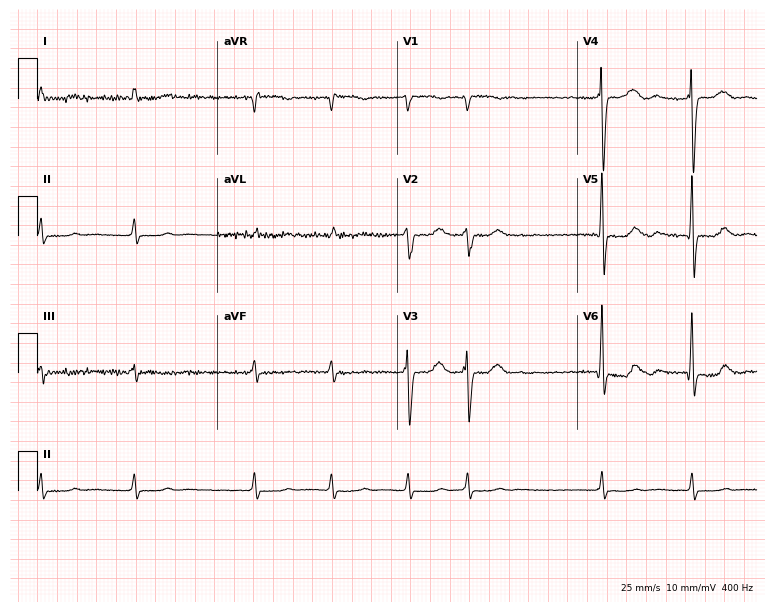
ECG — an 81-year-old male patient. Screened for six findings — first-degree AV block, right bundle branch block, left bundle branch block, sinus bradycardia, atrial fibrillation, sinus tachycardia — none is recorded.